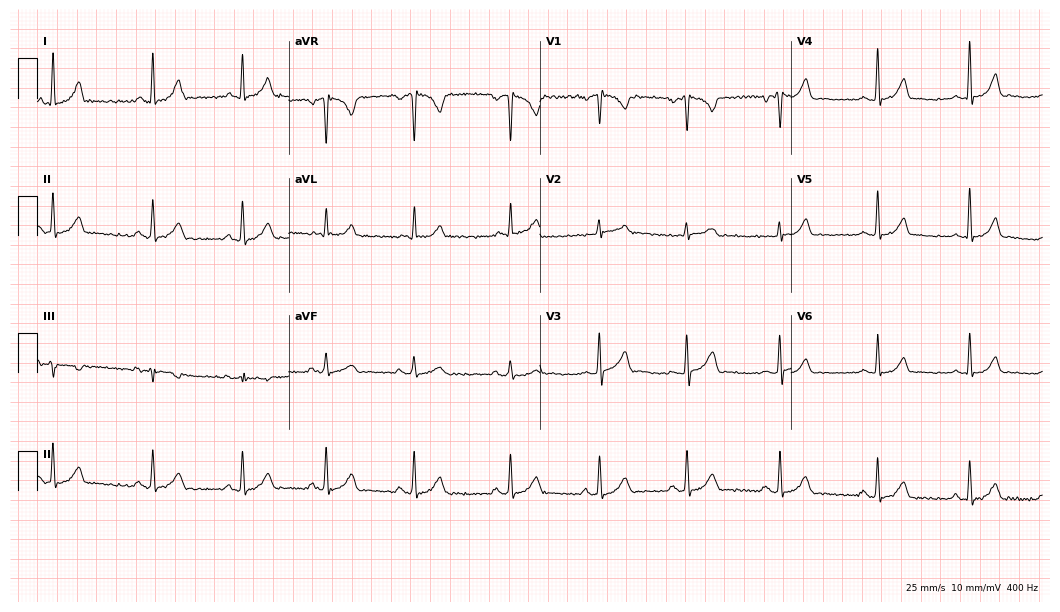
Standard 12-lead ECG recorded from a woman, 35 years old (10.2-second recording at 400 Hz). Read as a normal ECG.